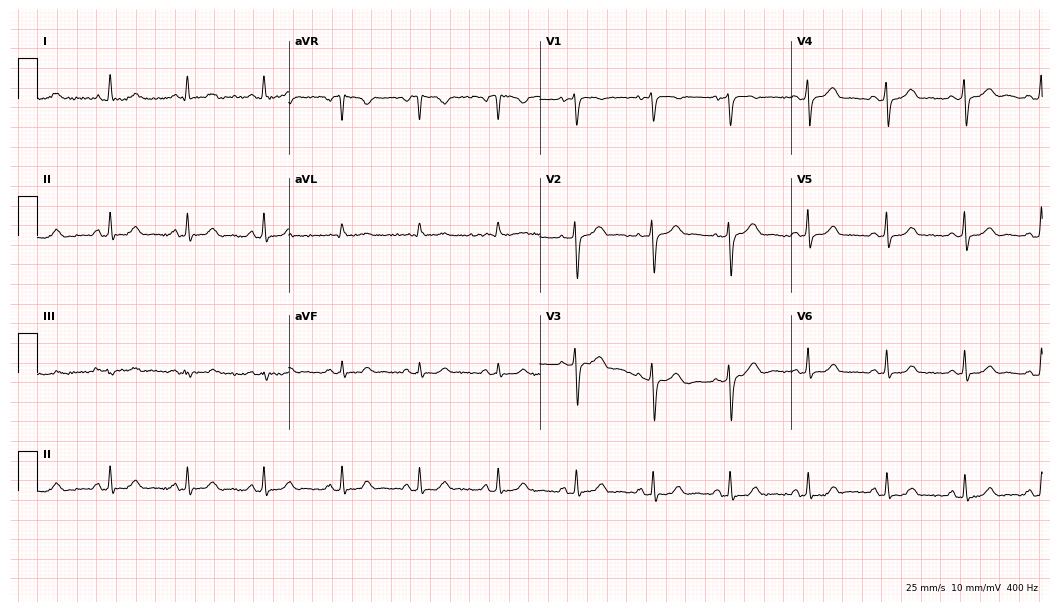
12-lead ECG from a 60-year-old female patient (10.2-second recording at 400 Hz). Recorded interpretation: within normal limits.